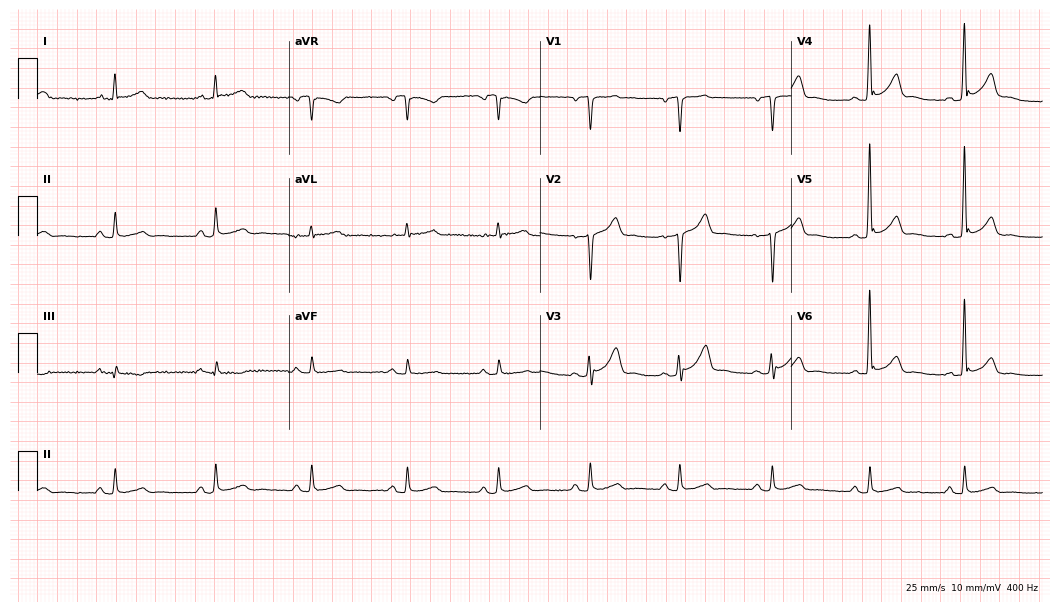
12-lead ECG from a male, 41 years old (10.2-second recording at 400 Hz). Recorded interpretation: within normal limits.